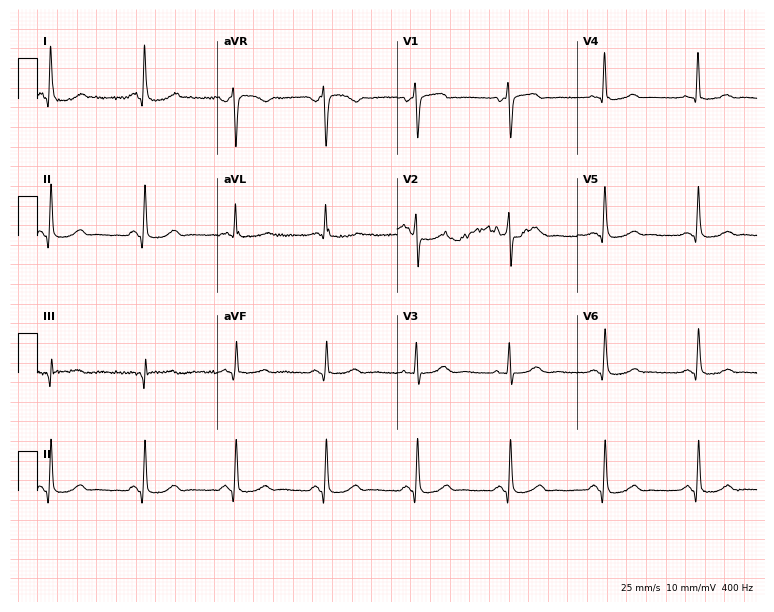
Standard 12-lead ECG recorded from a female patient, 61 years old (7.3-second recording at 400 Hz). Read as a normal ECG.